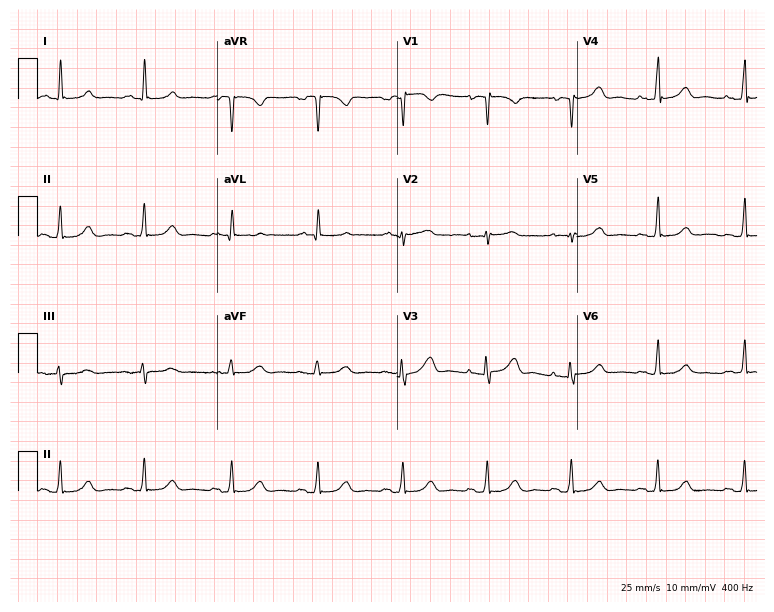
Standard 12-lead ECG recorded from a female patient, 23 years old (7.3-second recording at 400 Hz). Read as a normal ECG.